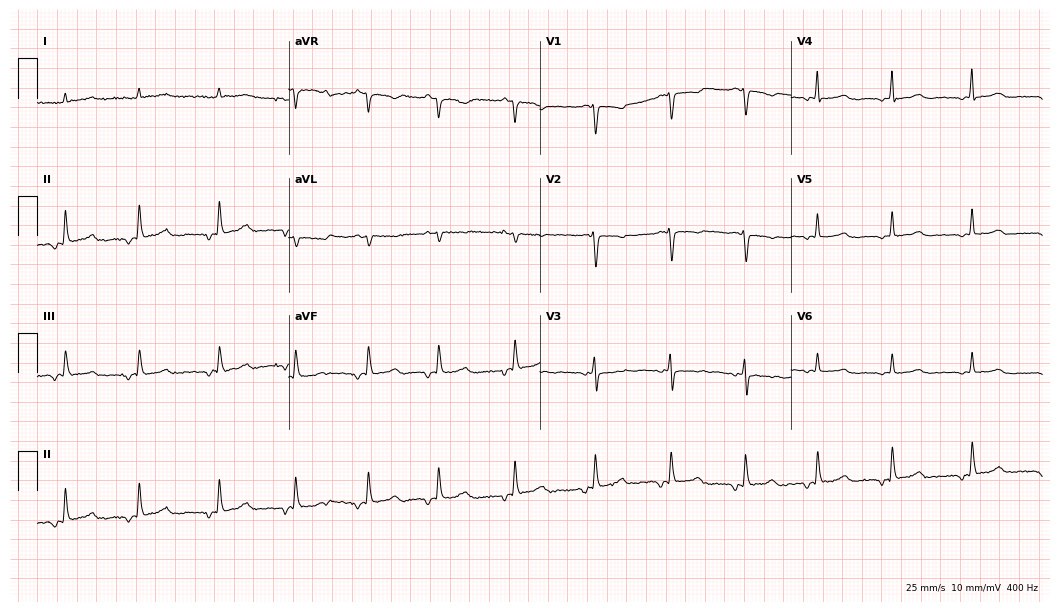
Standard 12-lead ECG recorded from a female, 48 years old (10.2-second recording at 400 Hz). None of these six findings is recorded: first-degree AV block, right bundle branch block (RBBB), left bundle branch block (LBBB), sinus bradycardia, atrial fibrillation (AF), sinus tachycardia.